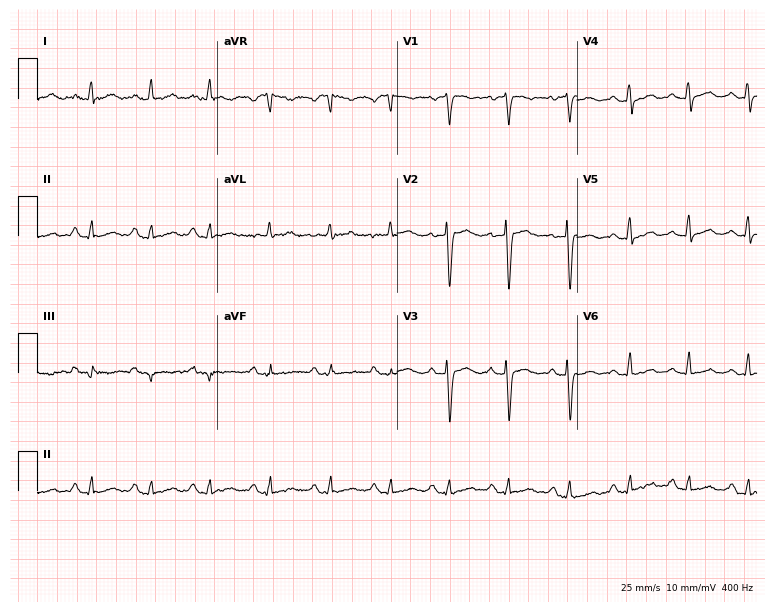
Electrocardiogram, a 55-year-old female patient. Overall reading on record: normal ECG.